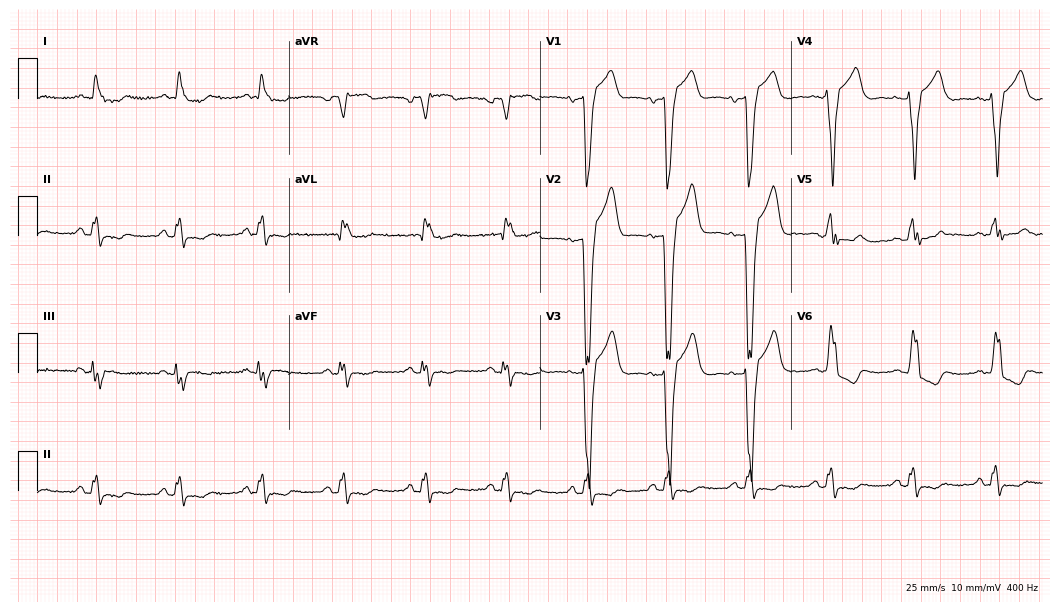
ECG (10.2-second recording at 400 Hz) — a 60-year-old male. Findings include left bundle branch block (LBBB).